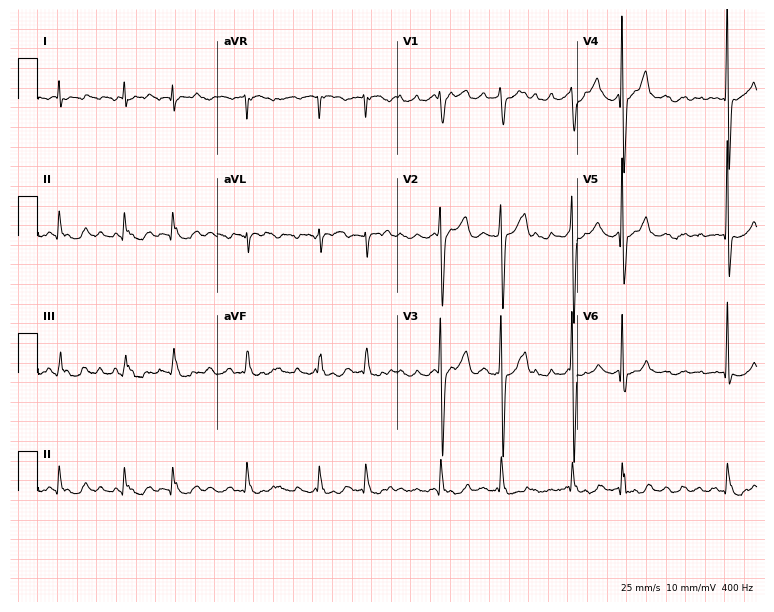
12-lead ECG from a male, 75 years old. Findings include atrial fibrillation.